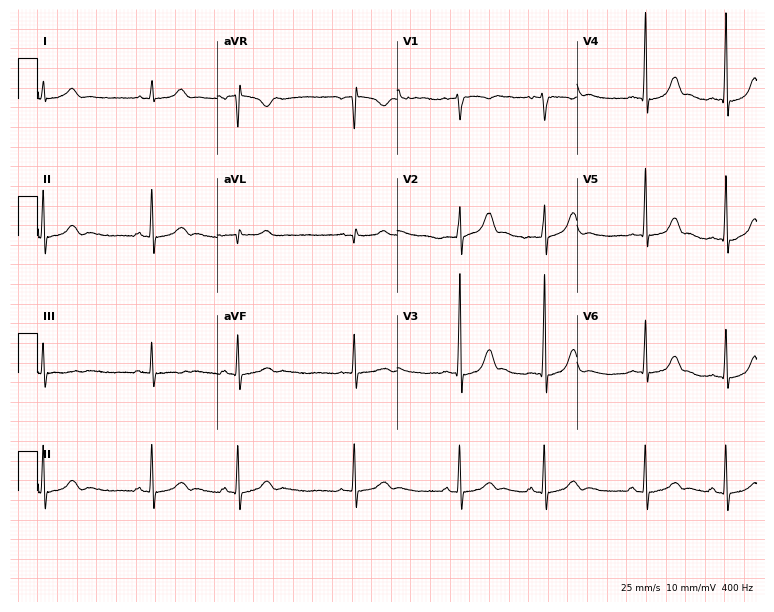
ECG — a 20-year-old female. Labelled as a normal ECG.